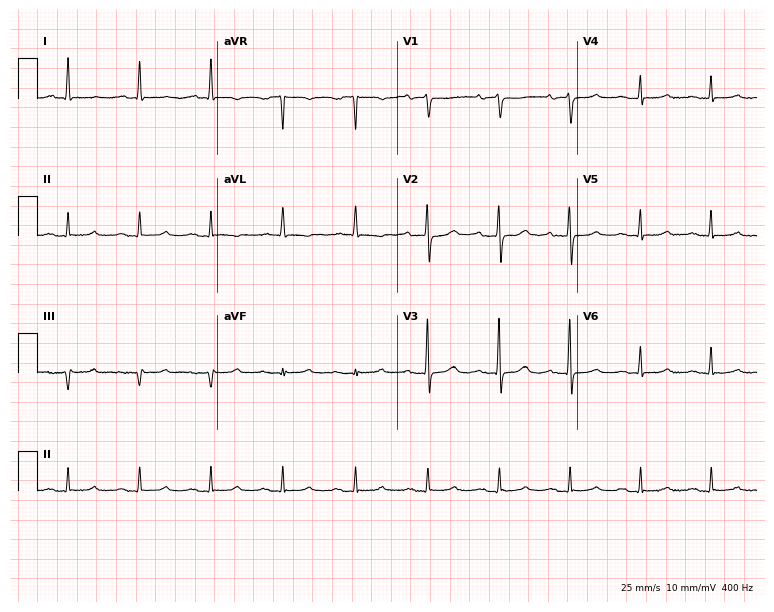
Electrocardiogram, a 71-year-old female patient. Overall reading on record: normal ECG.